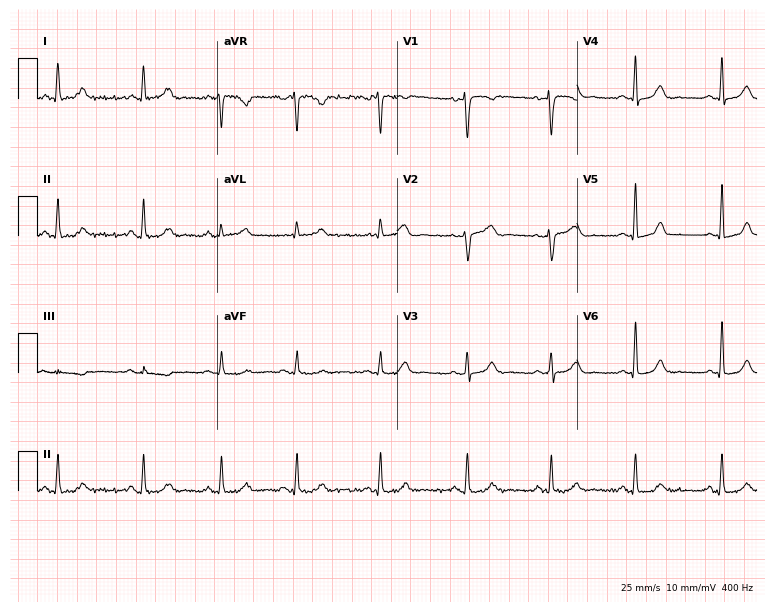
12-lead ECG from a 42-year-old woman (7.3-second recording at 400 Hz). No first-degree AV block, right bundle branch block, left bundle branch block, sinus bradycardia, atrial fibrillation or sinus tachycardia recorded for this tracing. Only these six findings were labelled.